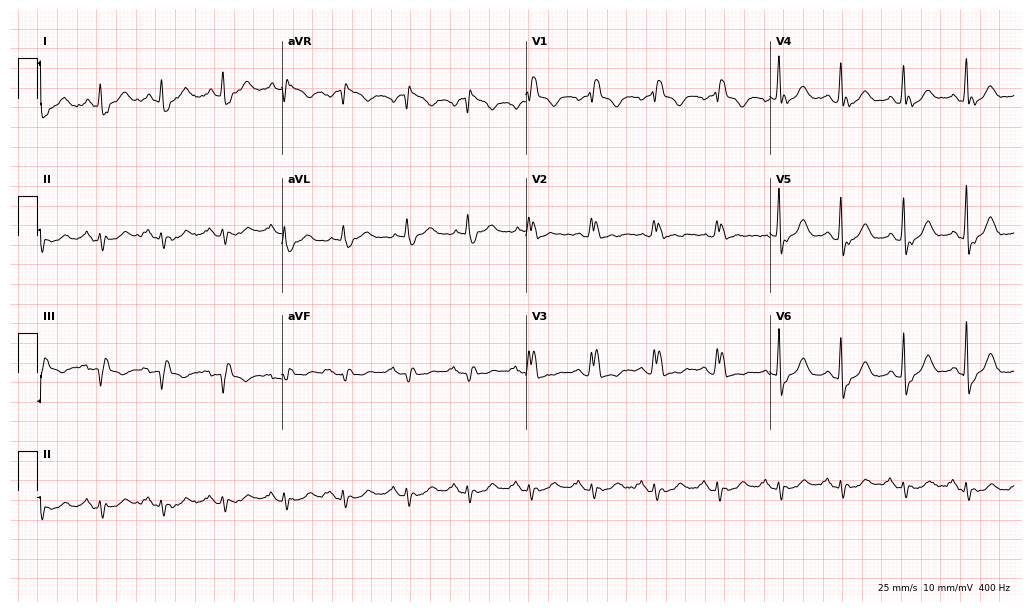
Resting 12-lead electrocardiogram. Patient: a male, 71 years old. The tracing shows right bundle branch block.